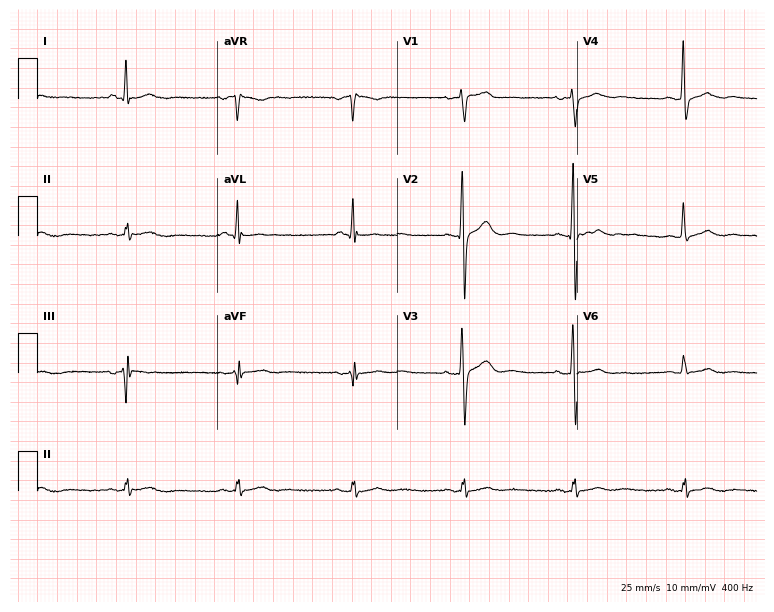
Standard 12-lead ECG recorded from a male patient, 40 years old (7.3-second recording at 400 Hz). Read as a normal ECG.